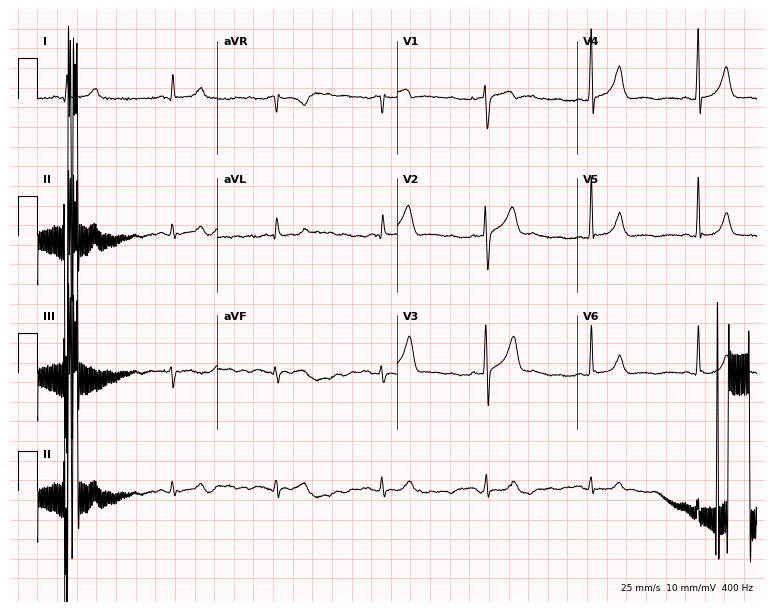
ECG — a man, 48 years old. Labelled as a normal ECG.